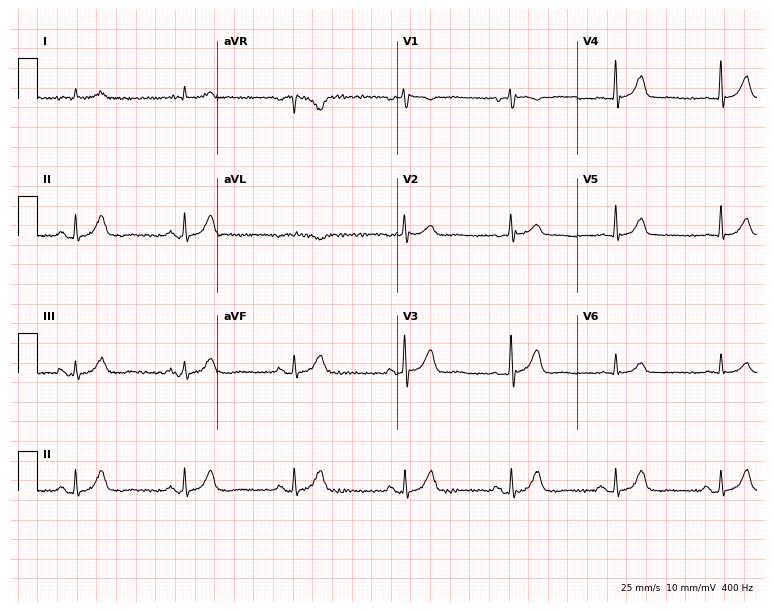
Standard 12-lead ECG recorded from a 71-year-old male patient (7.3-second recording at 400 Hz). None of these six findings is recorded: first-degree AV block, right bundle branch block, left bundle branch block, sinus bradycardia, atrial fibrillation, sinus tachycardia.